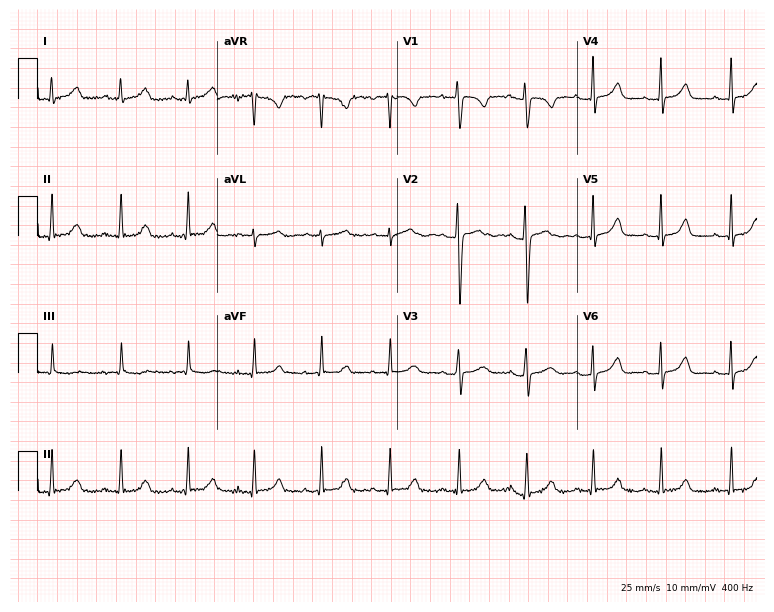
12-lead ECG from a female, 32 years old. No first-degree AV block, right bundle branch block, left bundle branch block, sinus bradycardia, atrial fibrillation or sinus tachycardia recorded for this tracing.